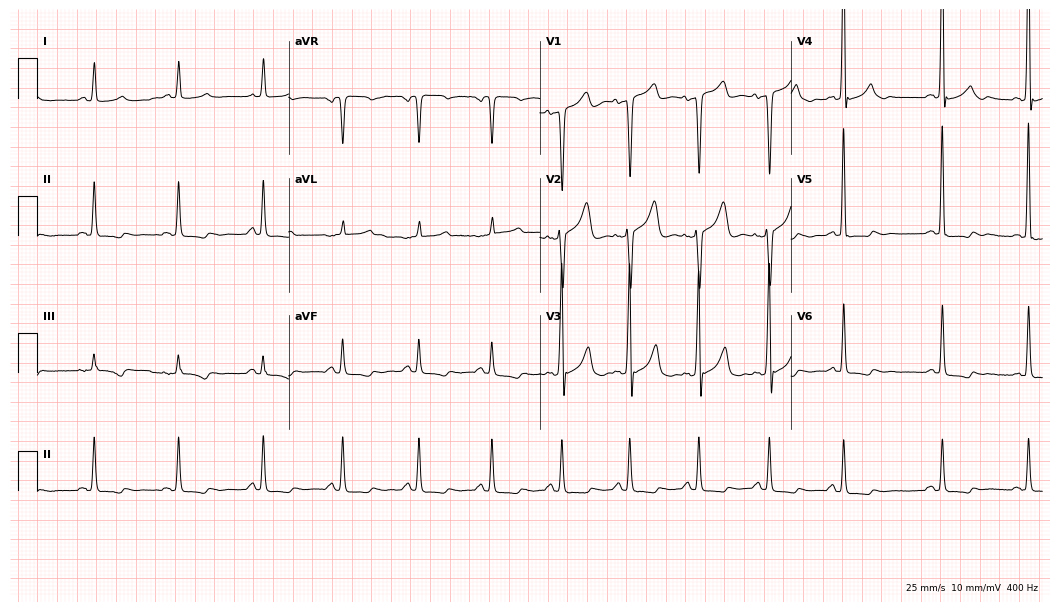
12-lead ECG from a 55-year-old male. No first-degree AV block, right bundle branch block, left bundle branch block, sinus bradycardia, atrial fibrillation or sinus tachycardia recorded for this tracing. Findings outside these six are not listed.